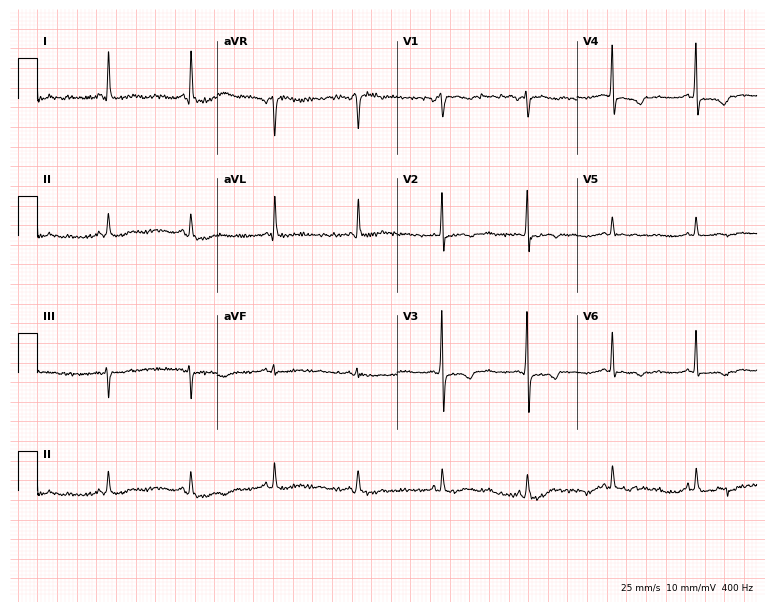
12-lead ECG from a 55-year-old woman (7.3-second recording at 400 Hz). No first-degree AV block, right bundle branch block (RBBB), left bundle branch block (LBBB), sinus bradycardia, atrial fibrillation (AF) or sinus tachycardia recorded for this tracing.